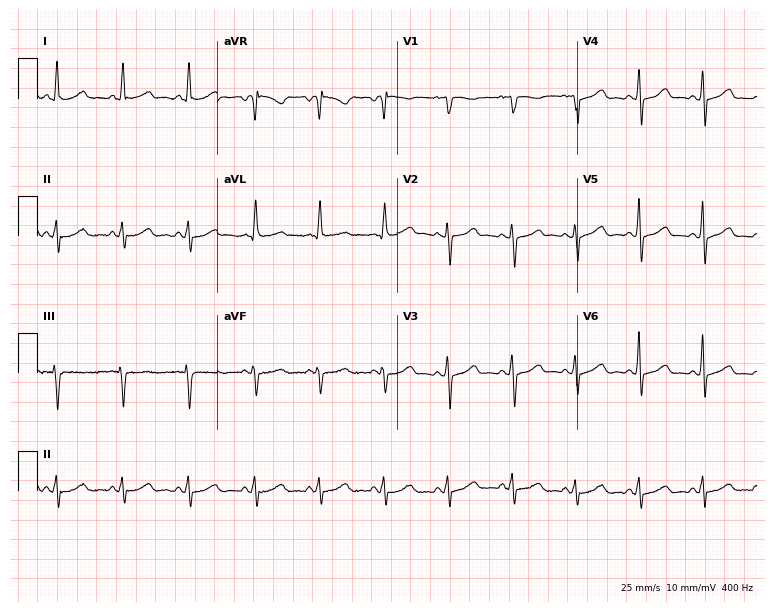
12-lead ECG from a 56-year-old female patient. Labelled as a normal ECG.